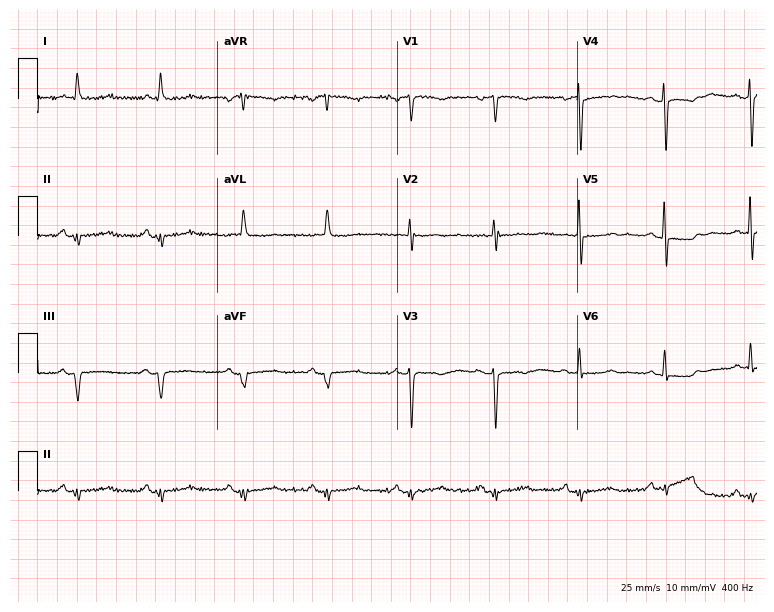
Resting 12-lead electrocardiogram (7.3-second recording at 400 Hz). Patient: a 79-year-old female. None of these six findings is recorded: first-degree AV block, right bundle branch block (RBBB), left bundle branch block (LBBB), sinus bradycardia, atrial fibrillation (AF), sinus tachycardia. Only these six findings were labelled.